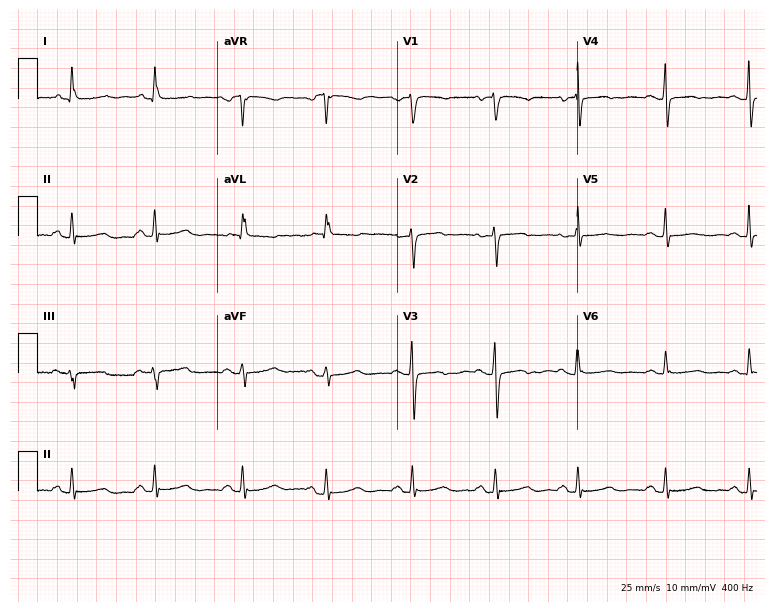
Electrocardiogram (7.3-second recording at 400 Hz), a man, 49 years old. Of the six screened findings (first-degree AV block, right bundle branch block (RBBB), left bundle branch block (LBBB), sinus bradycardia, atrial fibrillation (AF), sinus tachycardia), none is recorded. Other findings, if any, are not listed.